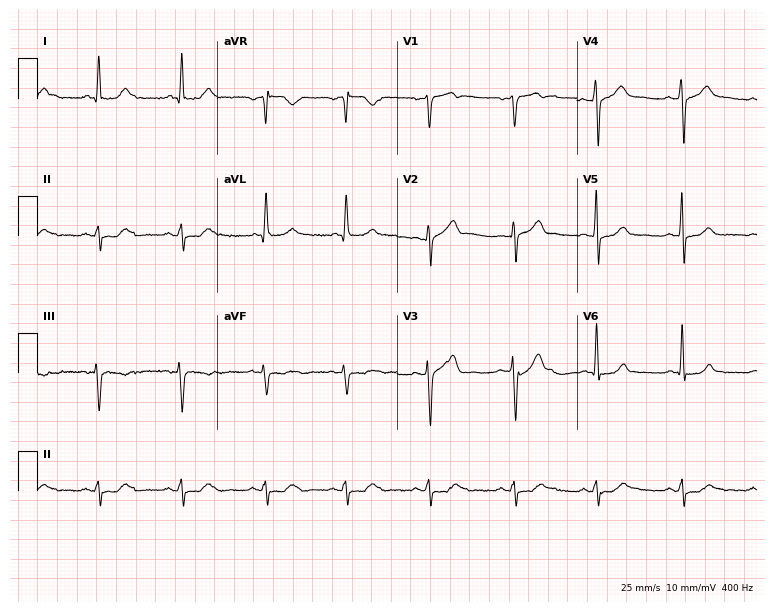
Electrocardiogram, a male patient, 57 years old. Of the six screened findings (first-degree AV block, right bundle branch block, left bundle branch block, sinus bradycardia, atrial fibrillation, sinus tachycardia), none is recorded.